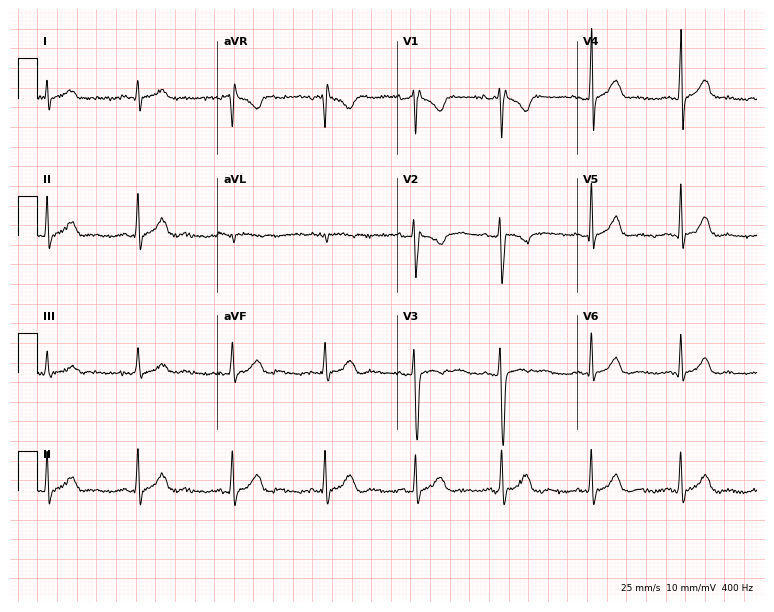
Standard 12-lead ECG recorded from a male, 29 years old (7.3-second recording at 400 Hz). Read as a normal ECG.